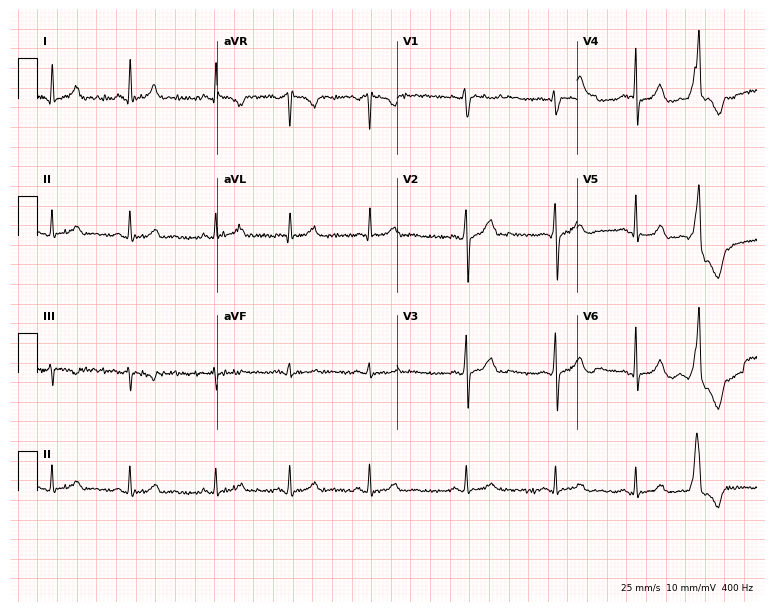
12-lead ECG from a male, 22 years old. Screened for six findings — first-degree AV block, right bundle branch block, left bundle branch block, sinus bradycardia, atrial fibrillation, sinus tachycardia — none is recorded. Findings outside these six are not listed.